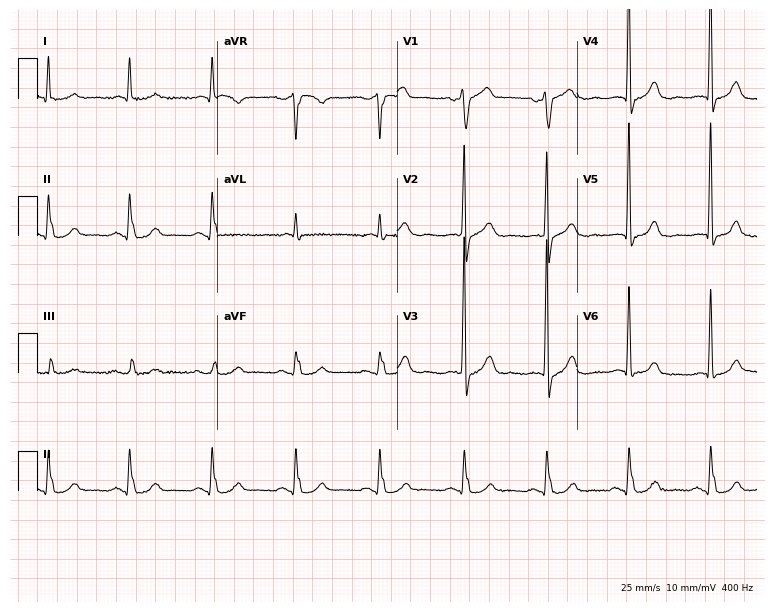
ECG (7.3-second recording at 400 Hz) — a male patient, 75 years old. Labelled as a normal ECG.